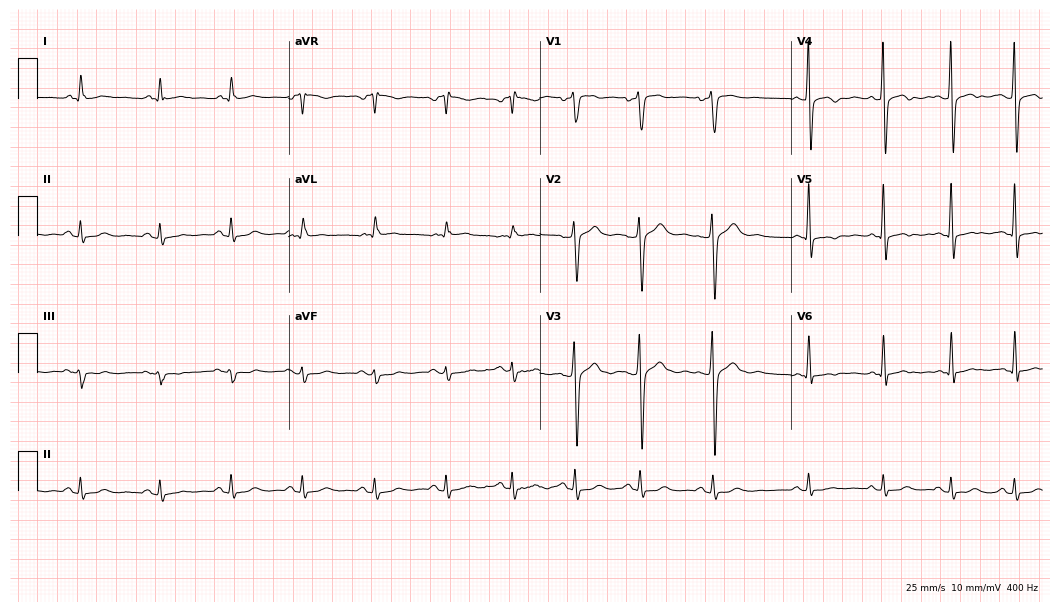
Standard 12-lead ECG recorded from a 49-year-old woman. None of these six findings is recorded: first-degree AV block, right bundle branch block, left bundle branch block, sinus bradycardia, atrial fibrillation, sinus tachycardia. Only these six findings were labelled.